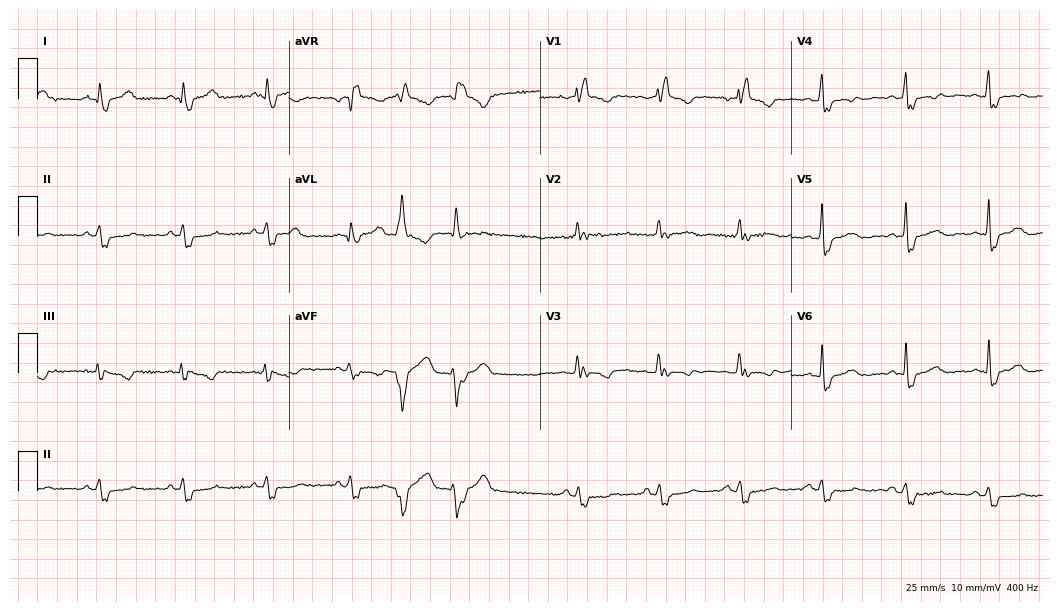
12-lead ECG (10.2-second recording at 400 Hz) from a female, 53 years old. Findings include right bundle branch block.